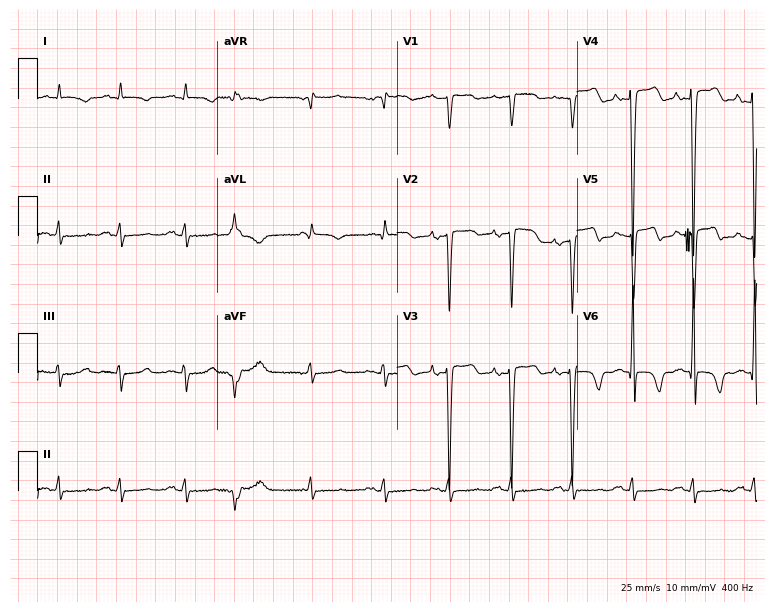
Resting 12-lead electrocardiogram. Patient: a male, 75 years old. None of these six findings is recorded: first-degree AV block, right bundle branch block, left bundle branch block, sinus bradycardia, atrial fibrillation, sinus tachycardia. Findings outside these six are not listed.